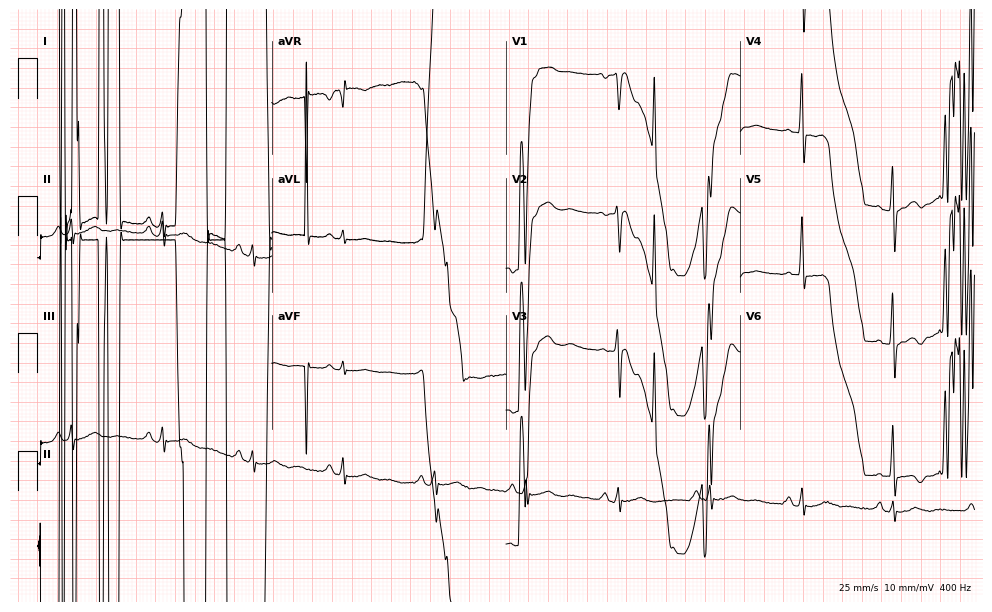
ECG — a 60-year-old female patient. Screened for six findings — first-degree AV block, right bundle branch block, left bundle branch block, sinus bradycardia, atrial fibrillation, sinus tachycardia — none is recorded.